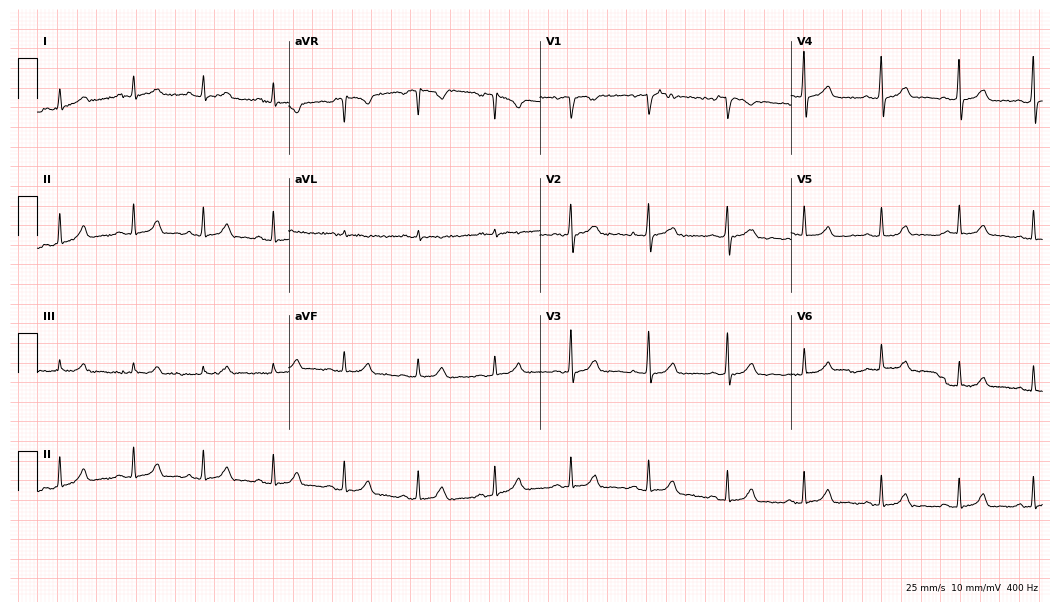
Standard 12-lead ECG recorded from a female patient, 29 years old. Read as a normal ECG.